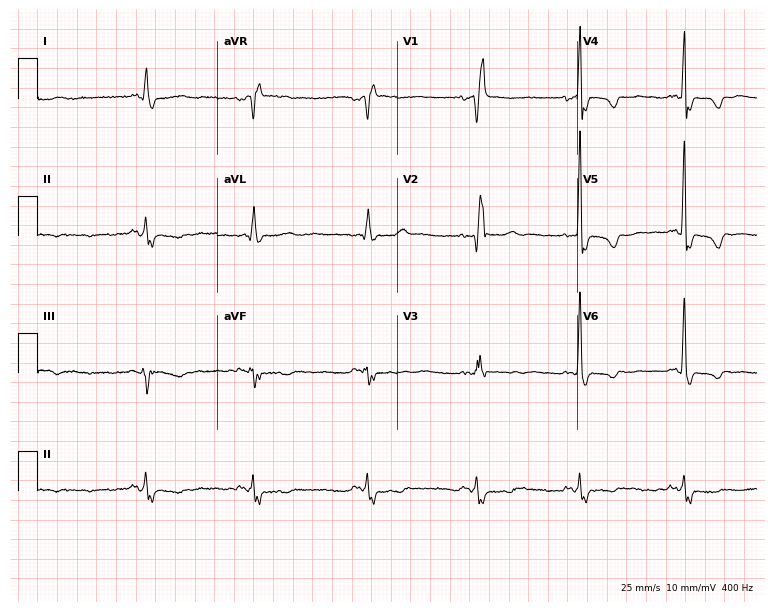
ECG (7.3-second recording at 400 Hz) — a woman, 73 years old. Findings include right bundle branch block.